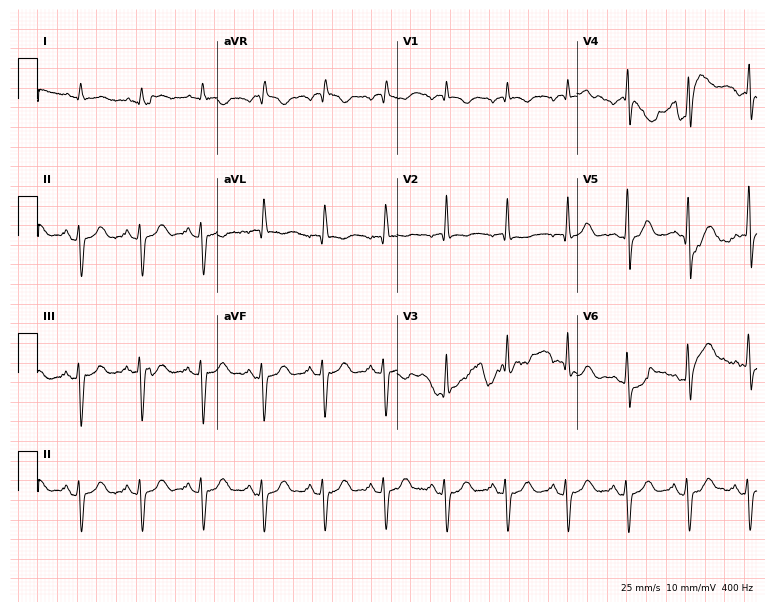
Electrocardiogram, a man, 85 years old. Of the six screened findings (first-degree AV block, right bundle branch block, left bundle branch block, sinus bradycardia, atrial fibrillation, sinus tachycardia), none is recorded.